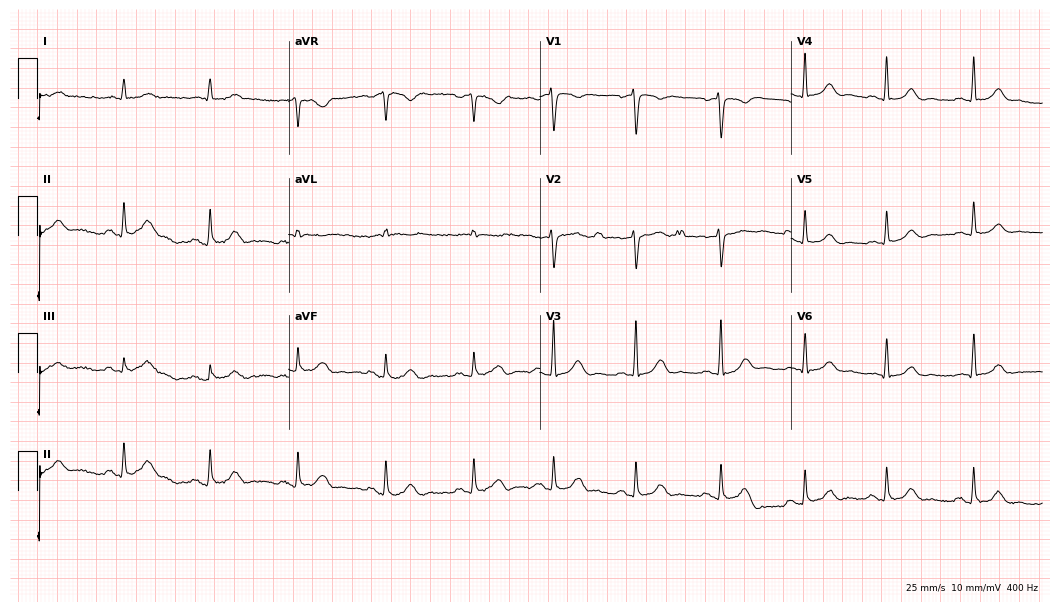
ECG (10.2-second recording at 400 Hz) — a male patient, 31 years old. Labelled as a normal ECG.